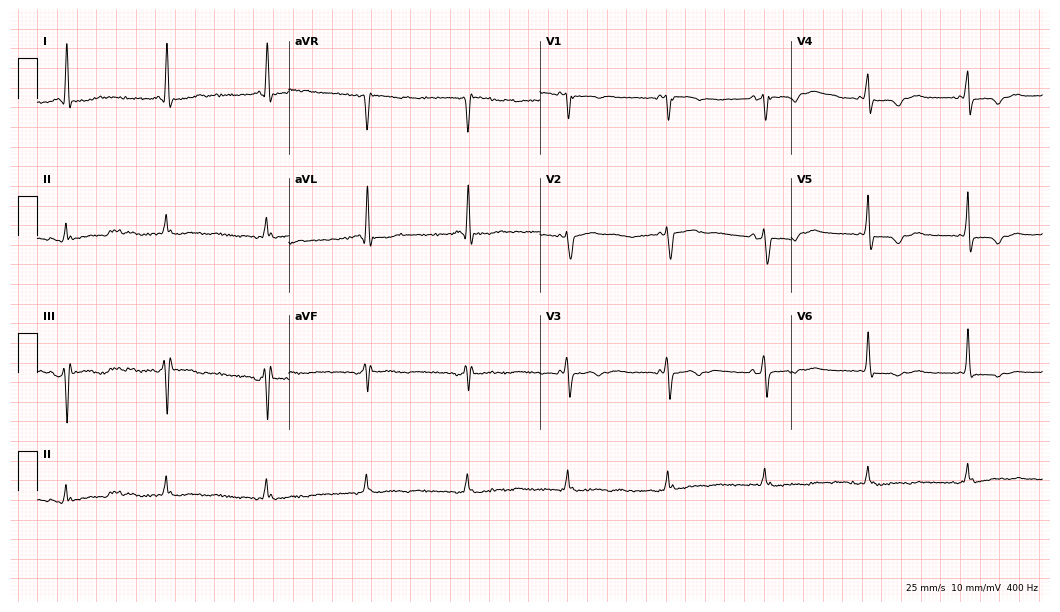
Standard 12-lead ECG recorded from a man, 68 years old (10.2-second recording at 400 Hz). None of these six findings is recorded: first-degree AV block, right bundle branch block, left bundle branch block, sinus bradycardia, atrial fibrillation, sinus tachycardia. Other findings, if any, are not listed.